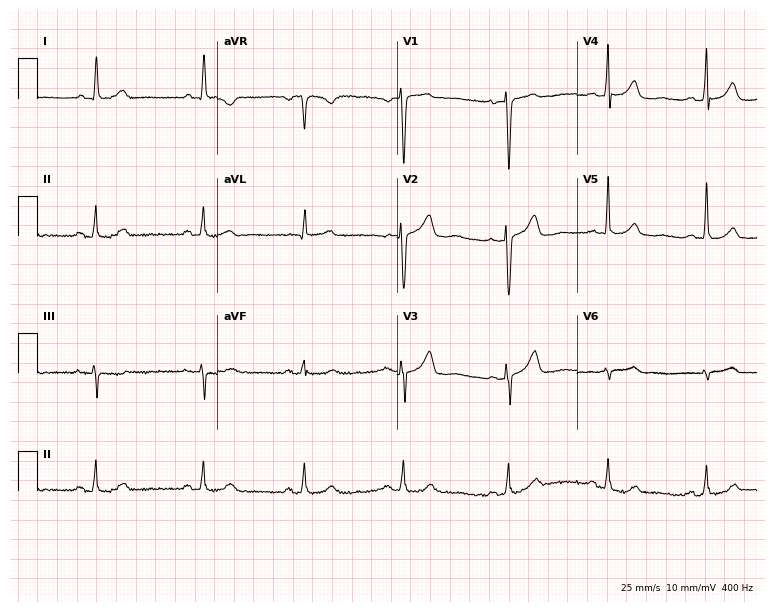
ECG — a 55-year-old woman. Labelled as a normal ECG.